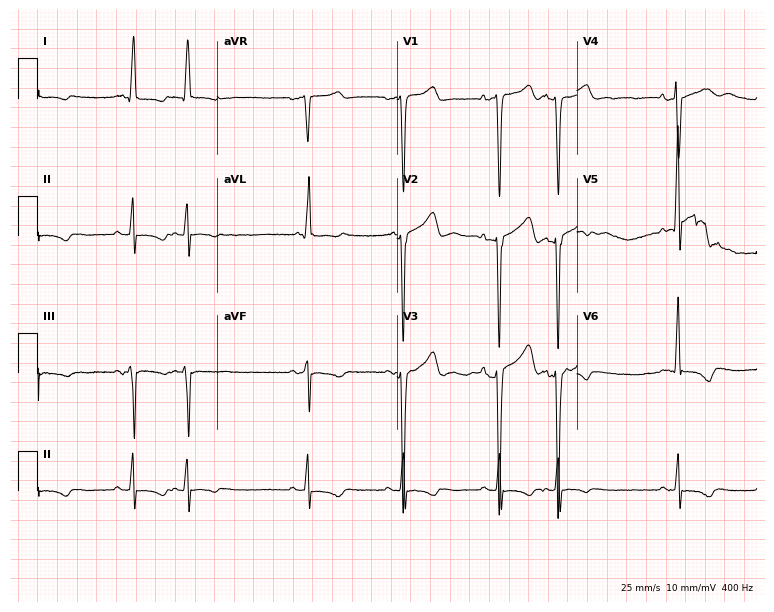
12-lead ECG (7.3-second recording at 400 Hz) from a 58-year-old man. Screened for six findings — first-degree AV block, right bundle branch block, left bundle branch block, sinus bradycardia, atrial fibrillation, sinus tachycardia — none is recorded.